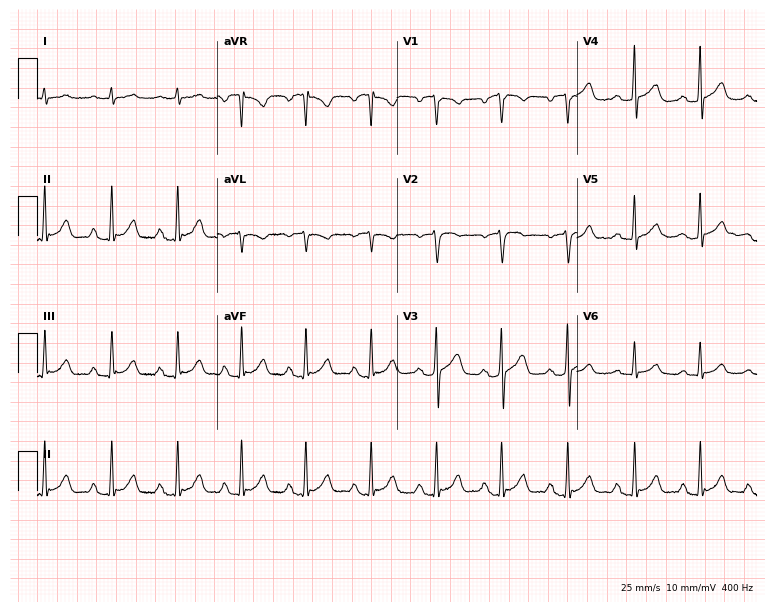
Standard 12-lead ECG recorded from a 54-year-old male patient. Read as a normal ECG.